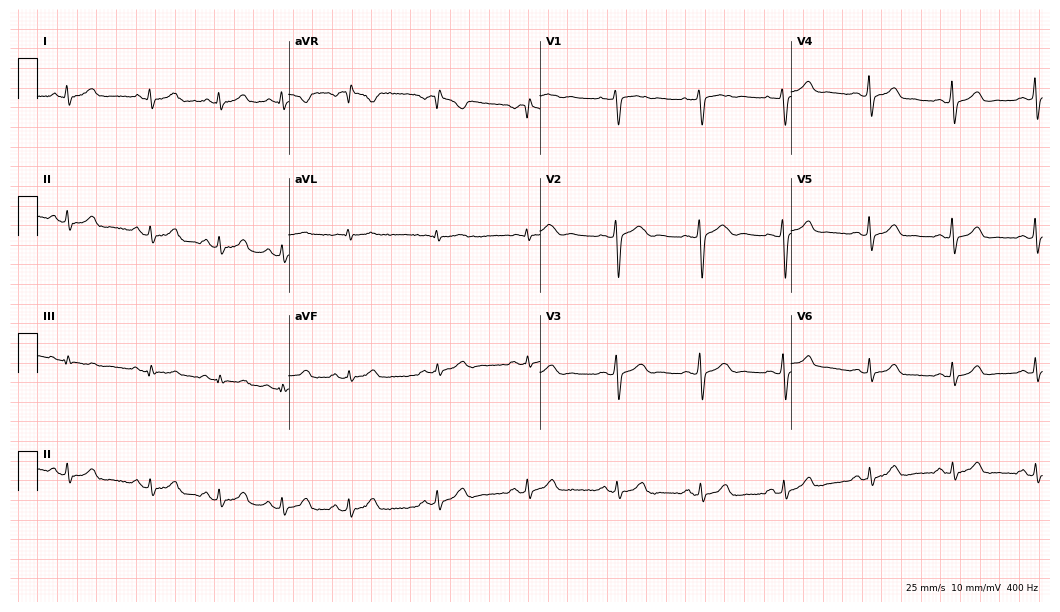
Standard 12-lead ECG recorded from a woman, 26 years old (10.2-second recording at 400 Hz). None of these six findings is recorded: first-degree AV block, right bundle branch block, left bundle branch block, sinus bradycardia, atrial fibrillation, sinus tachycardia.